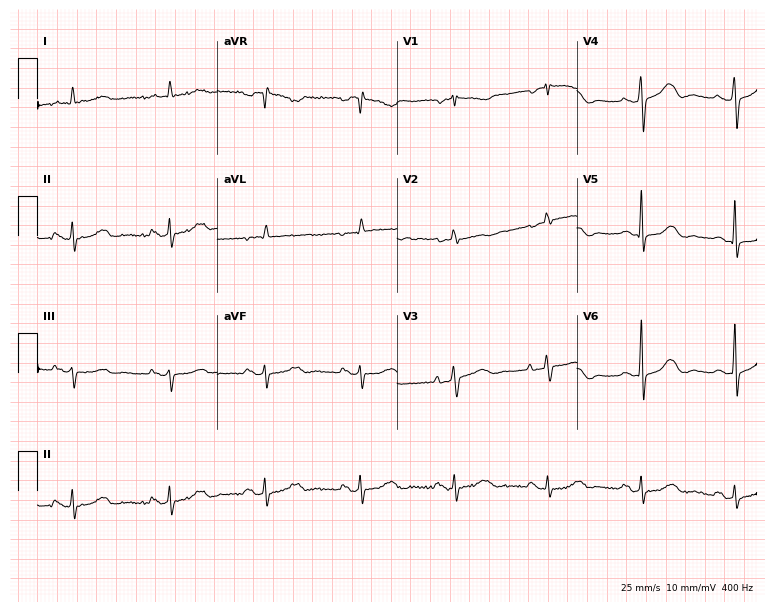
12-lead ECG from a female patient, 71 years old. Screened for six findings — first-degree AV block, right bundle branch block, left bundle branch block, sinus bradycardia, atrial fibrillation, sinus tachycardia — none is recorded.